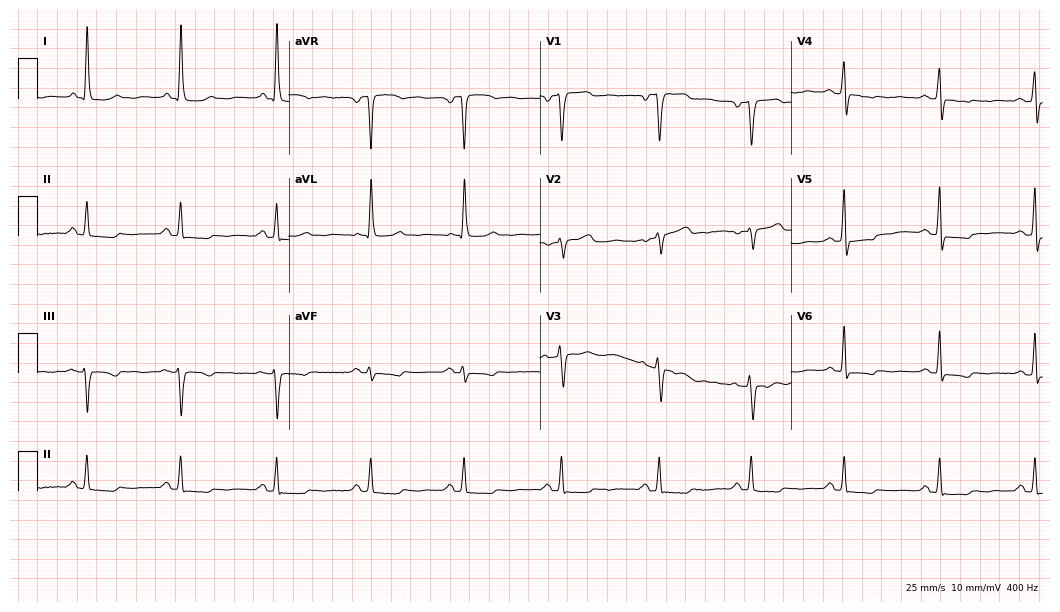
12-lead ECG from a 63-year-old female. No first-degree AV block, right bundle branch block (RBBB), left bundle branch block (LBBB), sinus bradycardia, atrial fibrillation (AF) or sinus tachycardia recorded for this tracing. Findings outside these six are not listed.